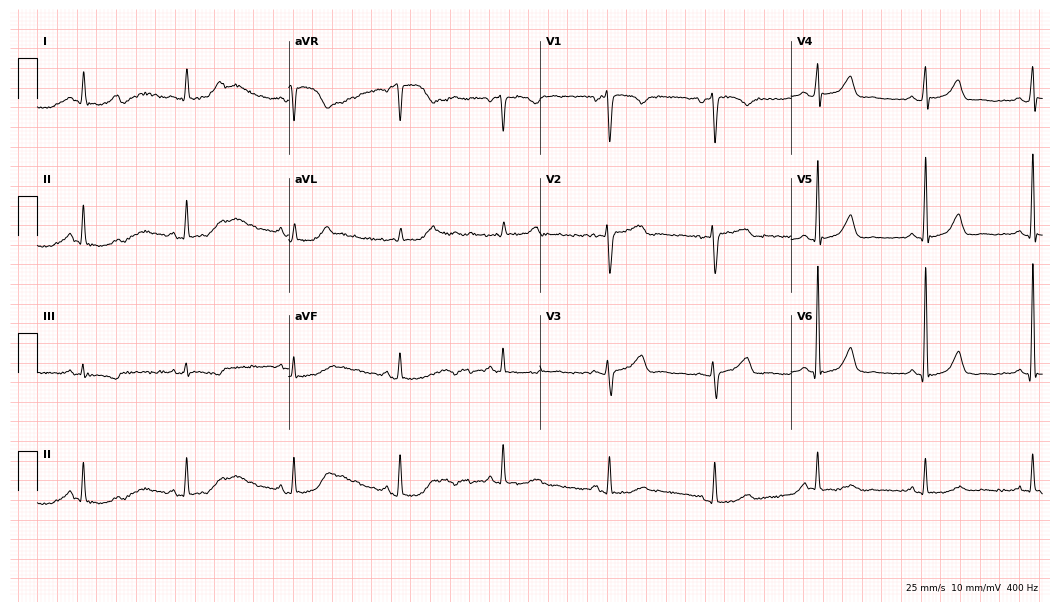
12-lead ECG from a female patient, 77 years old. Screened for six findings — first-degree AV block, right bundle branch block (RBBB), left bundle branch block (LBBB), sinus bradycardia, atrial fibrillation (AF), sinus tachycardia — none is recorded.